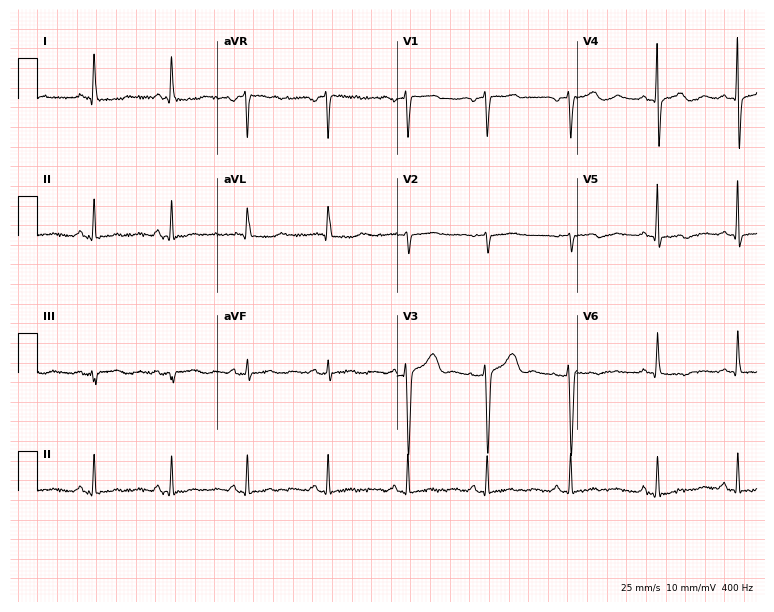
ECG (7.3-second recording at 400 Hz) — a 43-year-old female patient. Screened for six findings — first-degree AV block, right bundle branch block (RBBB), left bundle branch block (LBBB), sinus bradycardia, atrial fibrillation (AF), sinus tachycardia — none is recorded. Only these six findings were labelled.